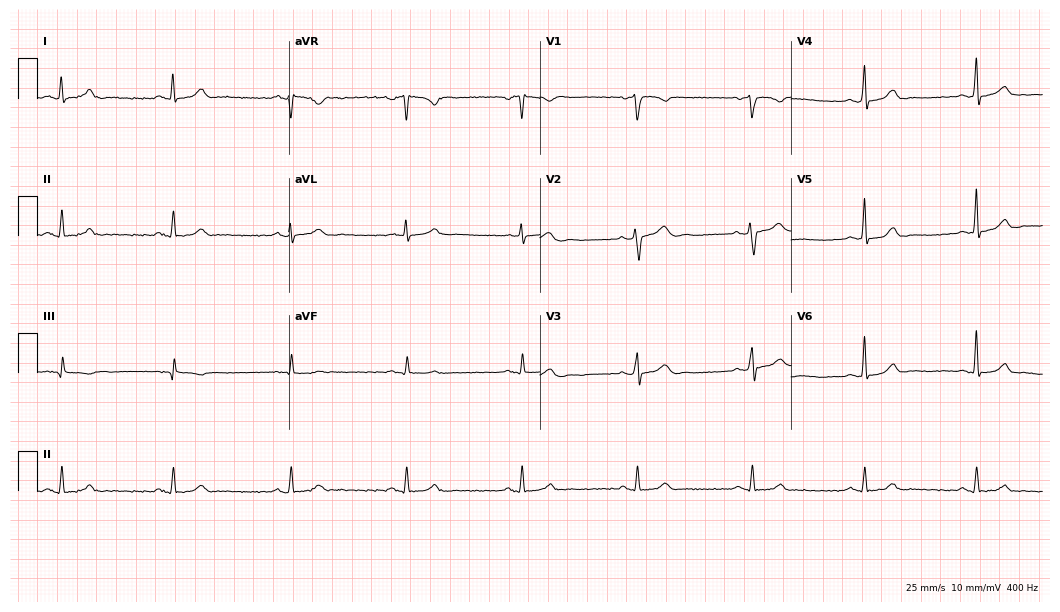
Electrocardiogram (10.2-second recording at 400 Hz), a 41-year-old man. Of the six screened findings (first-degree AV block, right bundle branch block, left bundle branch block, sinus bradycardia, atrial fibrillation, sinus tachycardia), none is recorded.